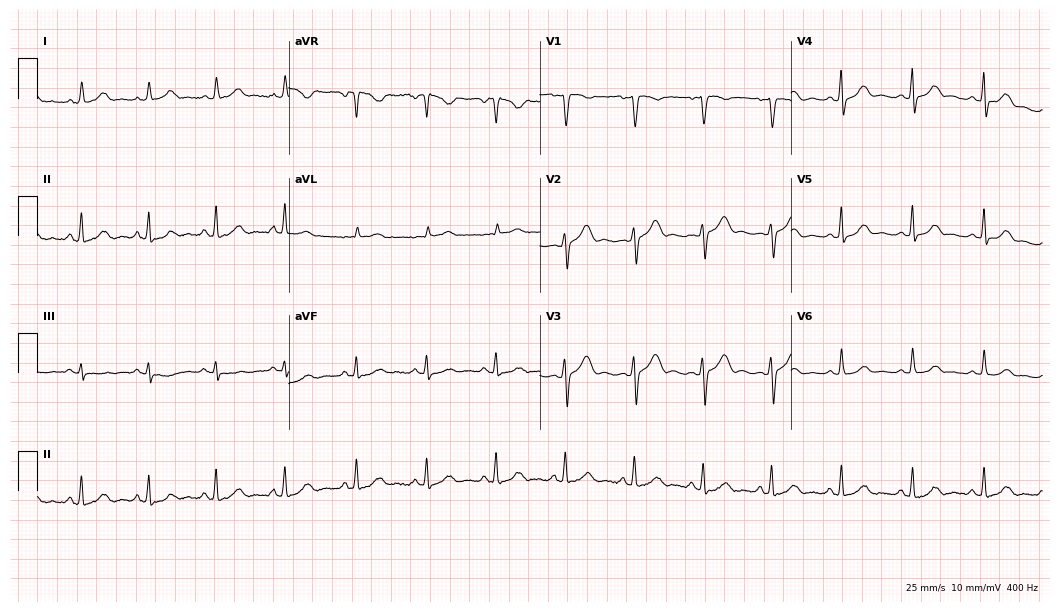
Electrocardiogram, a woman, 31 years old. Overall reading on record: normal ECG.